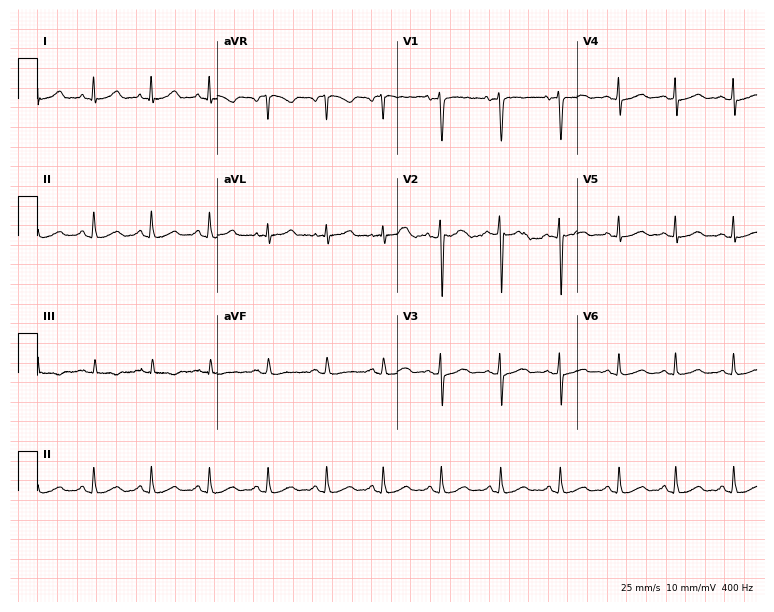
12-lead ECG from a 37-year-old woman (7.3-second recording at 400 Hz). Shows sinus tachycardia (a sinus rate of 100 beats per minute or more).